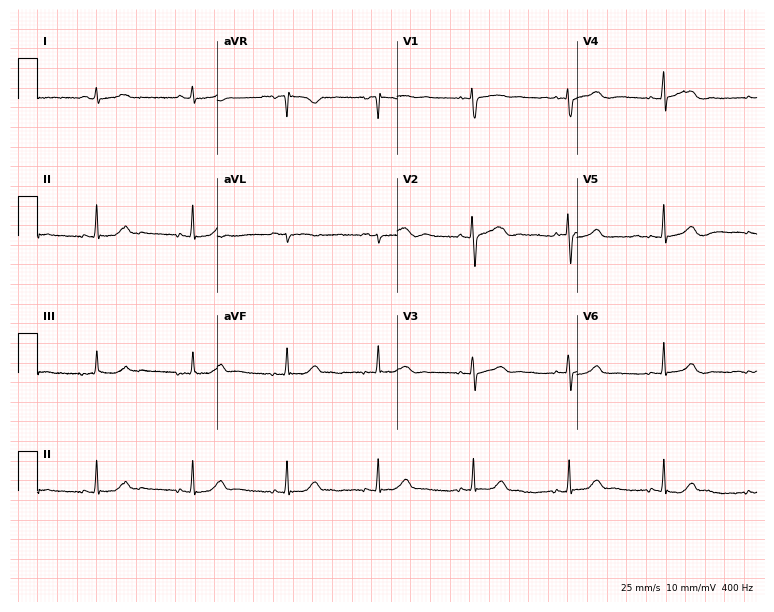
Standard 12-lead ECG recorded from a female, 36 years old. None of these six findings is recorded: first-degree AV block, right bundle branch block, left bundle branch block, sinus bradycardia, atrial fibrillation, sinus tachycardia. Findings outside these six are not listed.